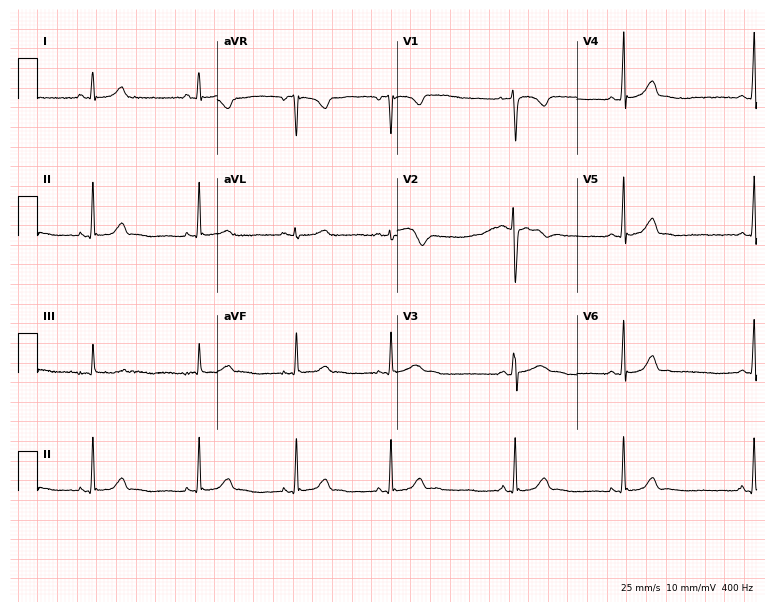
12-lead ECG from a female, 22 years old. No first-degree AV block, right bundle branch block, left bundle branch block, sinus bradycardia, atrial fibrillation or sinus tachycardia recorded for this tracing. Only these six findings were labelled.